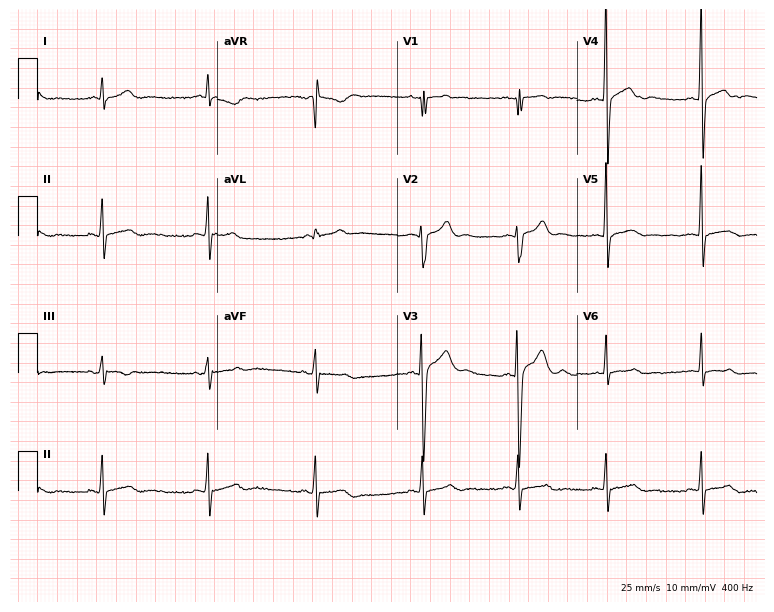
12-lead ECG (7.3-second recording at 400 Hz) from a male, 23 years old. Labelled as a normal ECG.